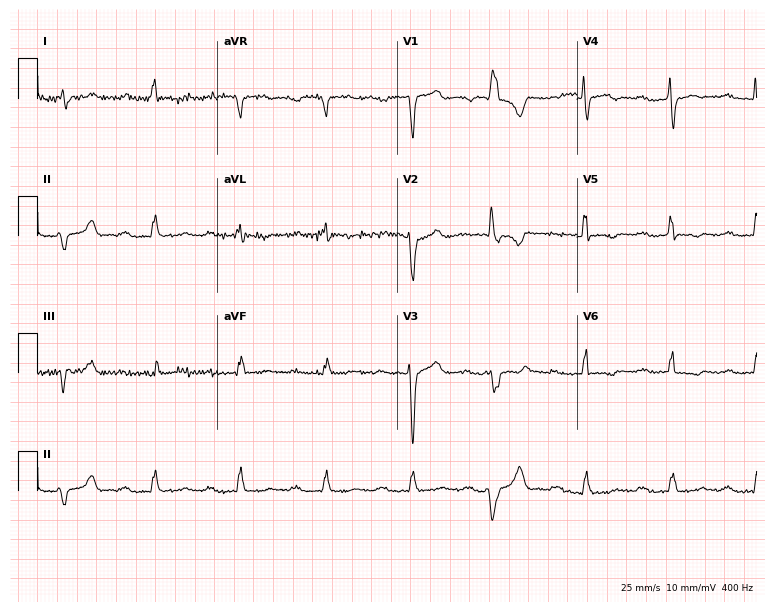
Resting 12-lead electrocardiogram. Patient: a male, 75 years old. The tracing shows first-degree AV block.